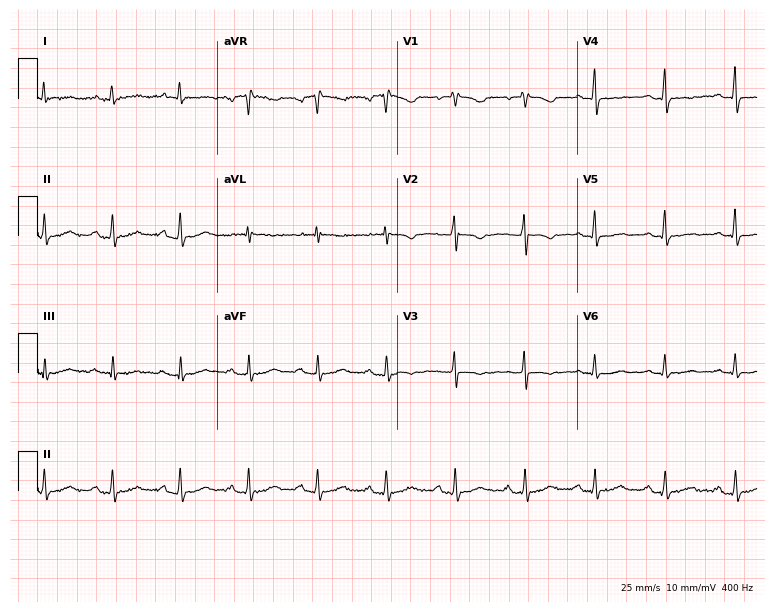
12-lead ECG from a female patient, 61 years old. Screened for six findings — first-degree AV block, right bundle branch block (RBBB), left bundle branch block (LBBB), sinus bradycardia, atrial fibrillation (AF), sinus tachycardia — none is recorded. Findings outside these six are not listed.